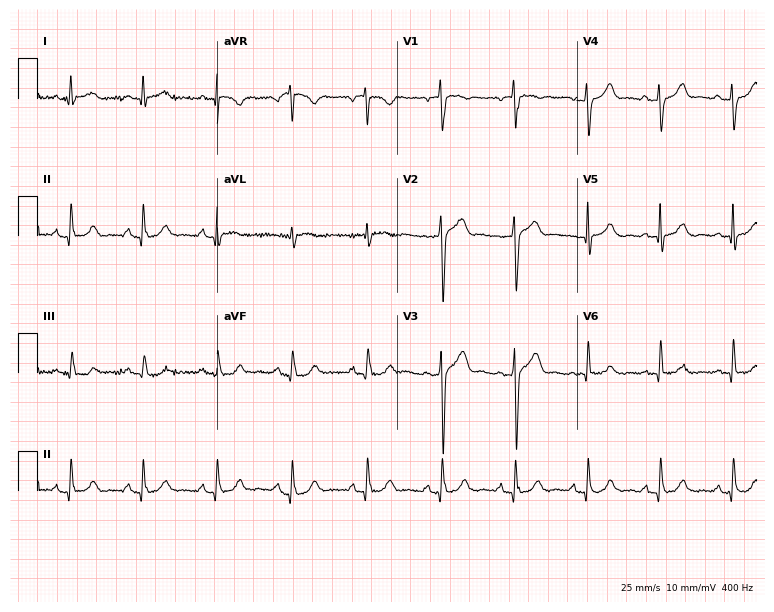
ECG (7.3-second recording at 400 Hz) — a male, 49 years old. Labelled as a normal ECG.